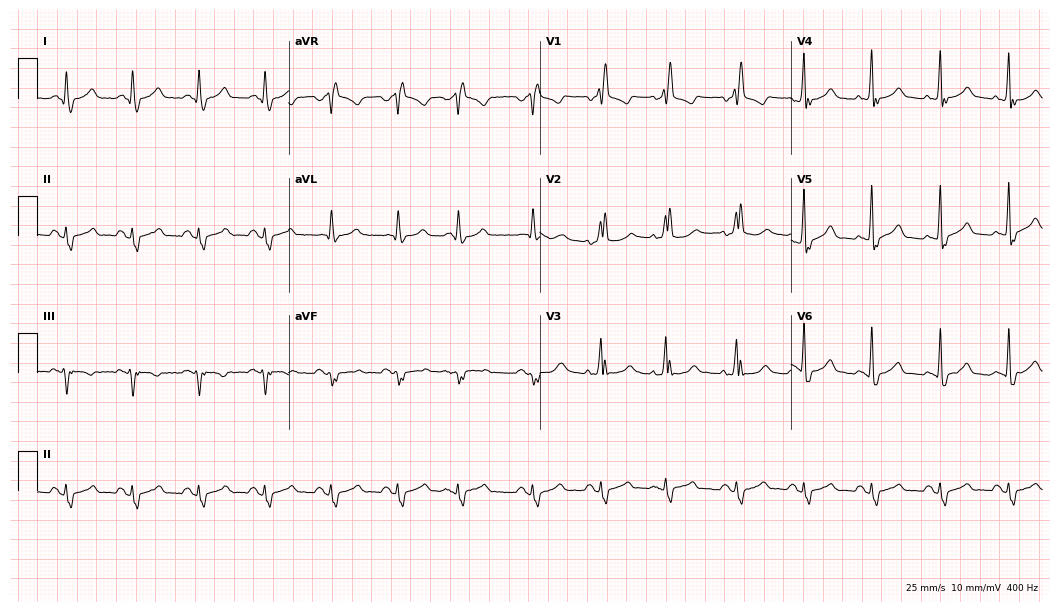
12-lead ECG (10.2-second recording at 400 Hz) from a 55-year-old male. Findings include right bundle branch block.